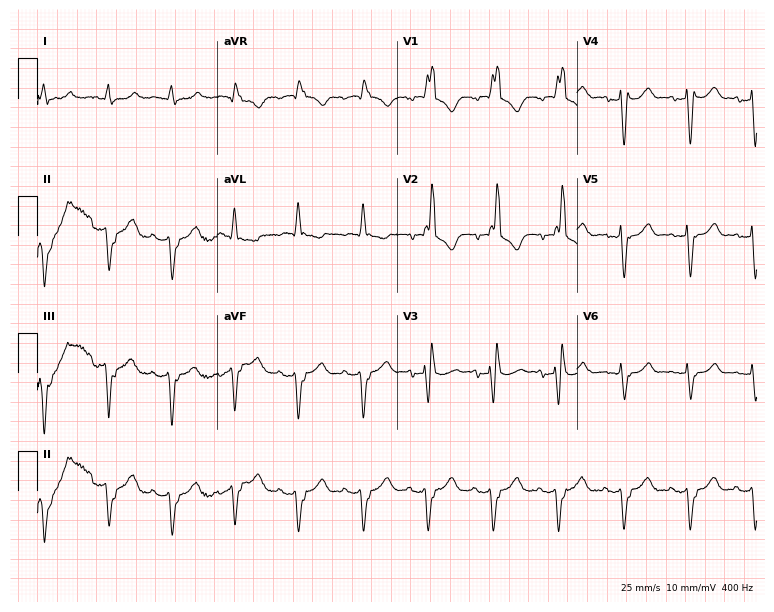
Standard 12-lead ECG recorded from a male, 69 years old. The tracing shows right bundle branch block (RBBB).